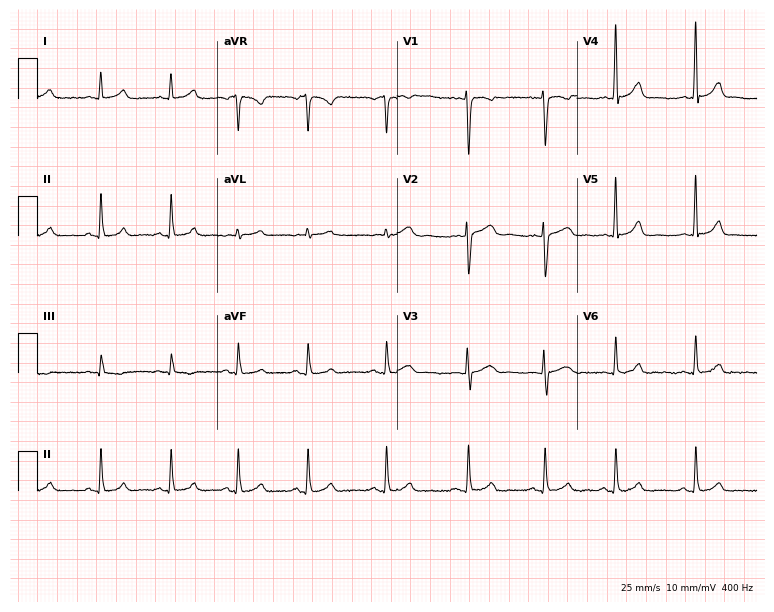
ECG (7.3-second recording at 400 Hz) — an 18-year-old female patient. Labelled as a normal ECG.